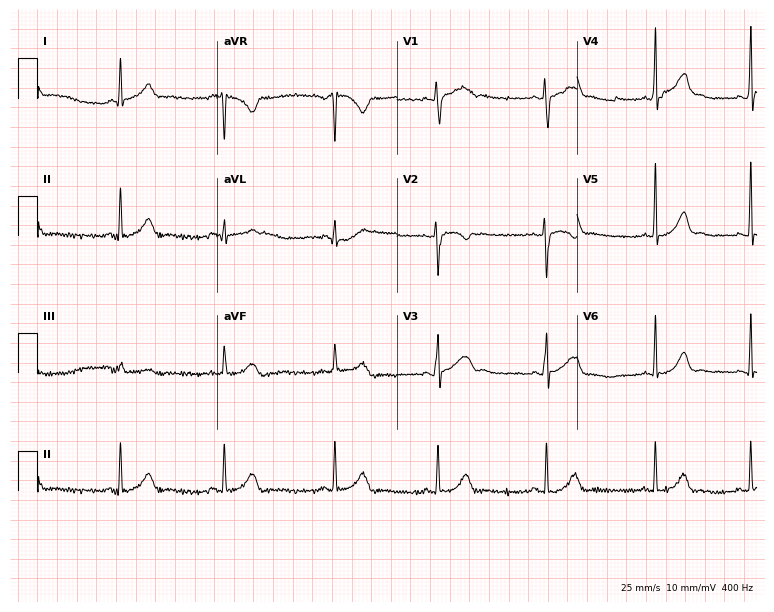
ECG (7.3-second recording at 400 Hz) — a 20-year-old woman. Labelled as a normal ECG.